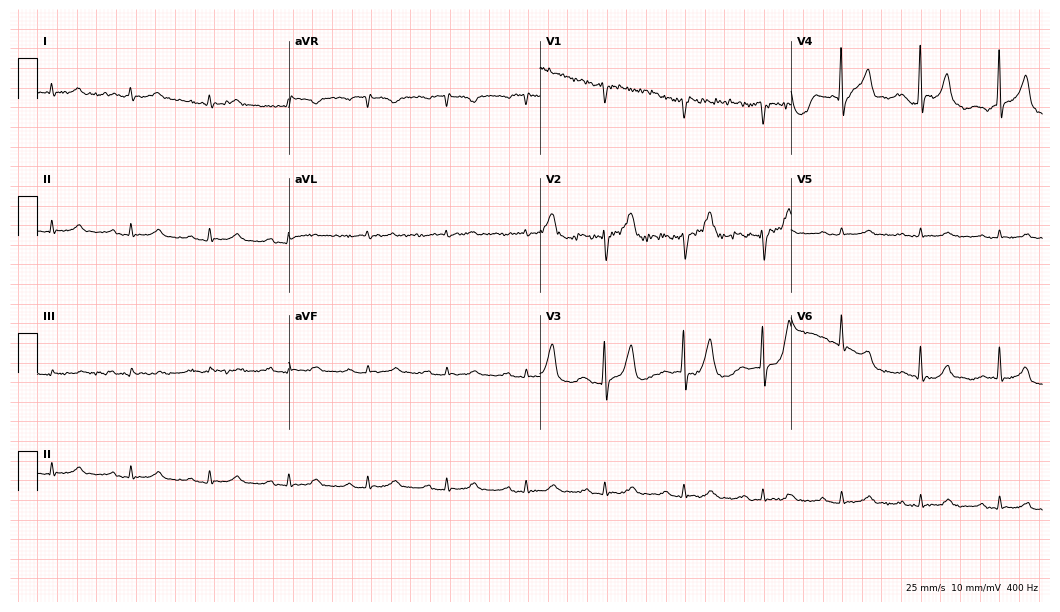
Electrocardiogram (10.2-second recording at 400 Hz), an 85-year-old male patient. Of the six screened findings (first-degree AV block, right bundle branch block (RBBB), left bundle branch block (LBBB), sinus bradycardia, atrial fibrillation (AF), sinus tachycardia), none is recorded.